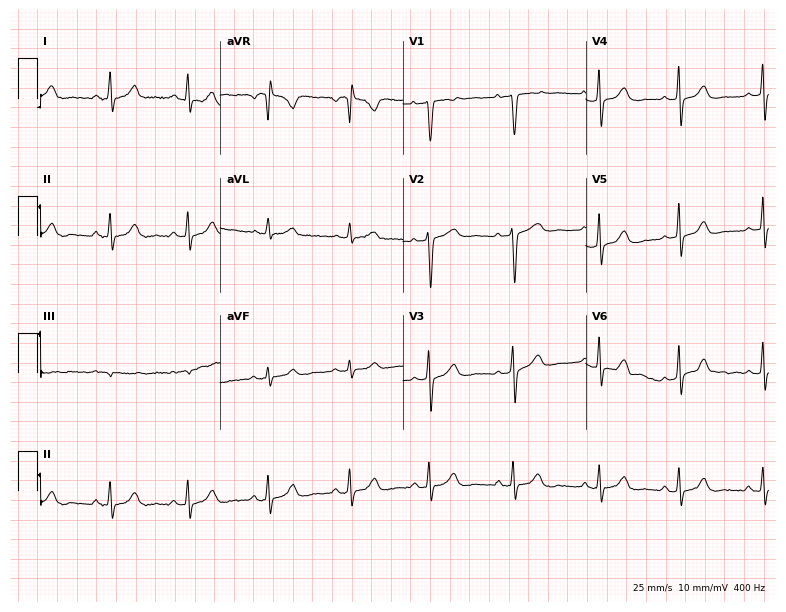
Electrocardiogram (7.5-second recording at 400 Hz), a 28-year-old woman. Of the six screened findings (first-degree AV block, right bundle branch block (RBBB), left bundle branch block (LBBB), sinus bradycardia, atrial fibrillation (AF), sinus tachycardia), none is recorded. Findings outside these six are not listed.